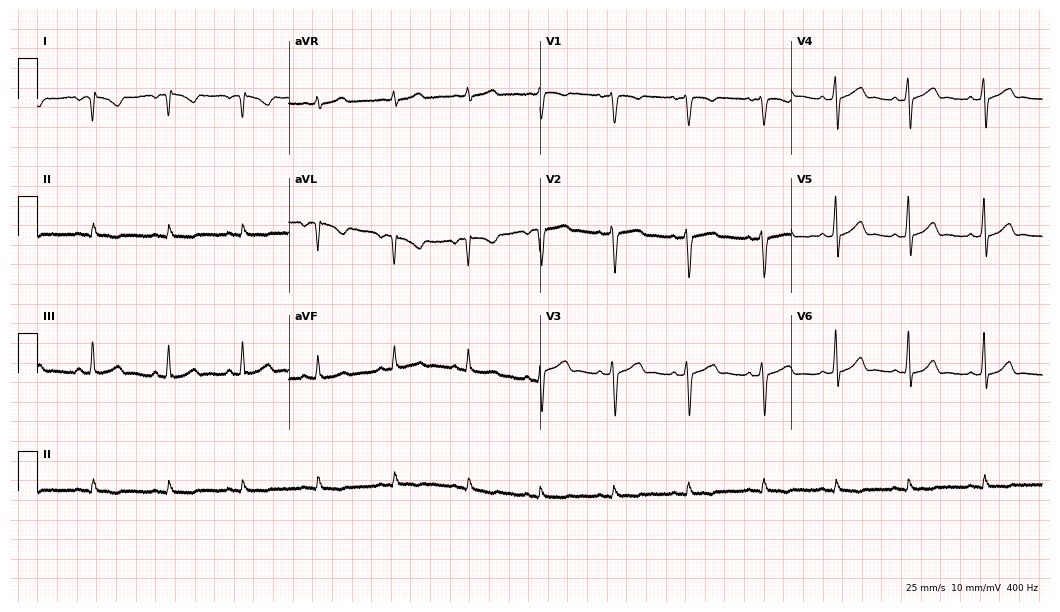
Electrocardiogram (10.2-second recording at 400 Hz), a 24-year-old female patient. Of the six screened findings (first-degree AV block, right bundle branch block, left bundle branch block, sinus bradycardia, atrial fibrillation, sinus tachycardia), none is recorded.